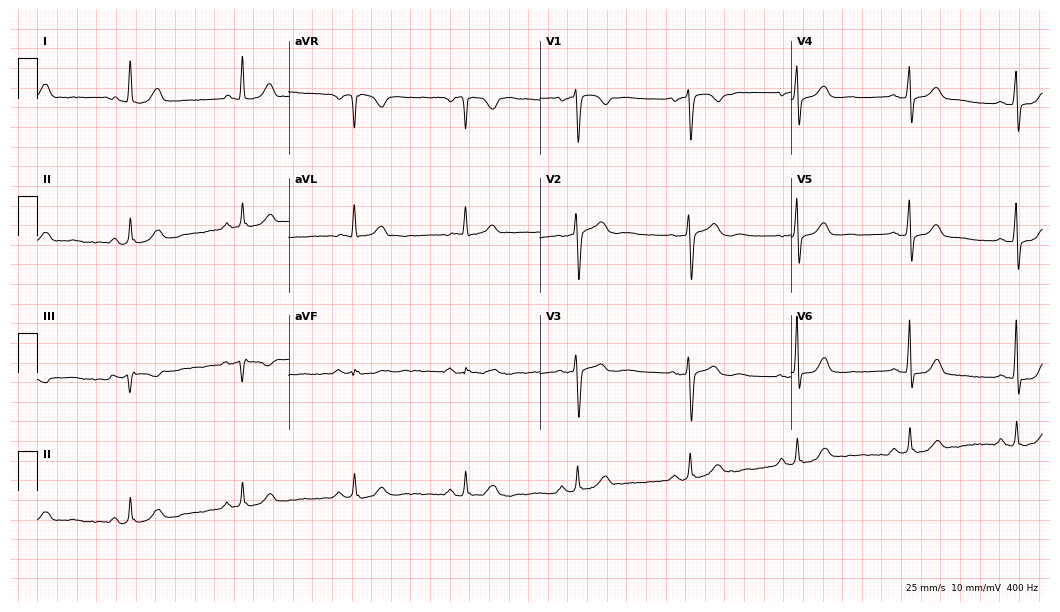
Resting 12-lead electrocardiogram. Patient: a female, 81 years old. Read as a normal ECG.